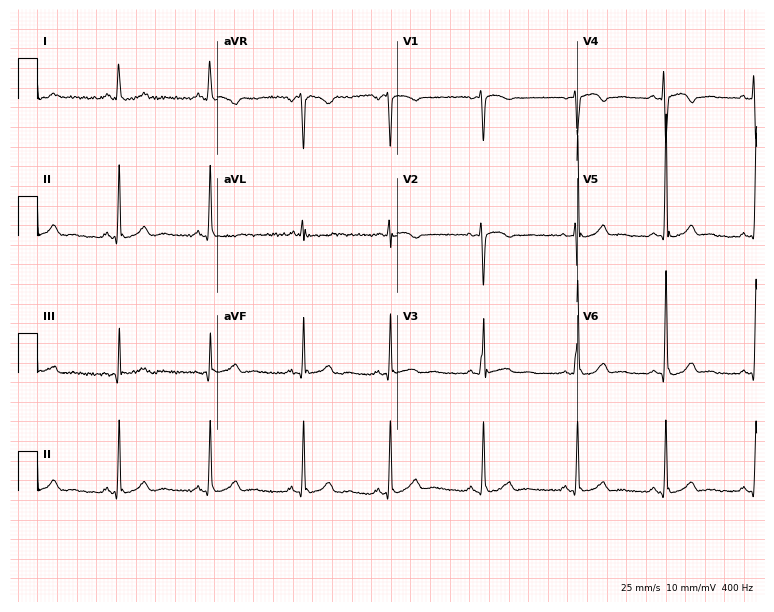
Electrocardiogram (7.3-second recording at 400 Hz), a female patient, 28 years old. Overall reading on record: normal ECG.